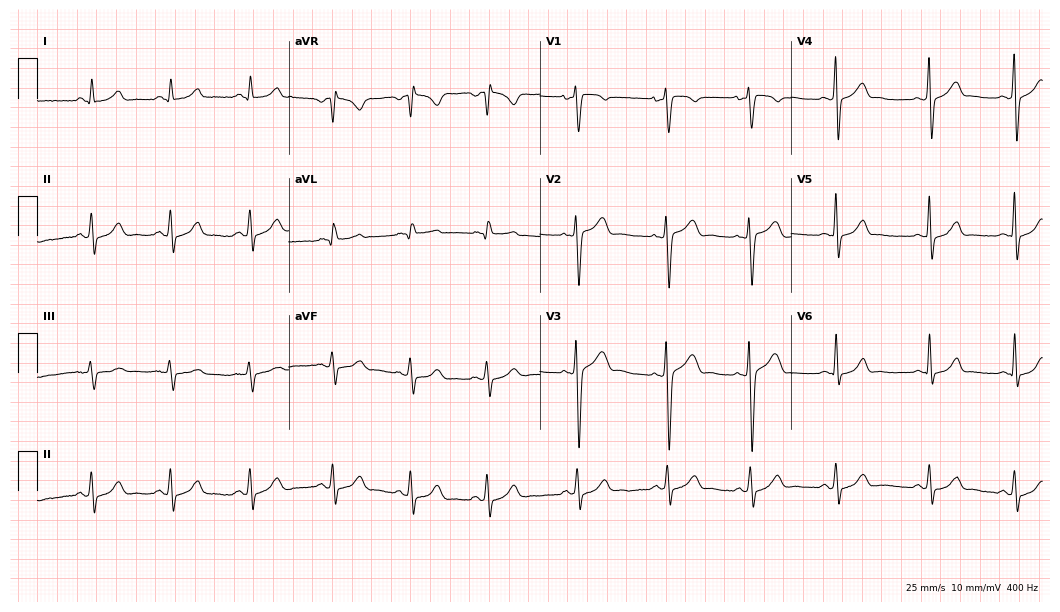
12-lead ECG from a 38-year-old female. Labelled as a normal ECG.